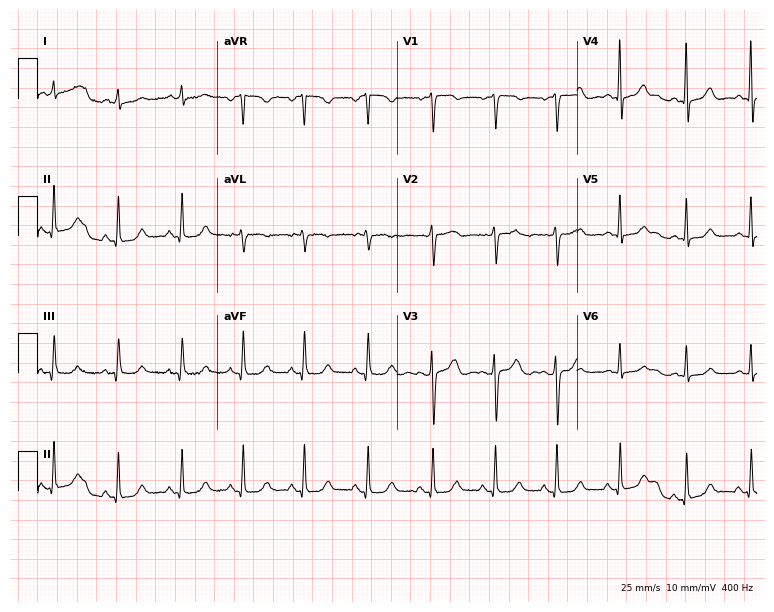
Standard 12-lead ECG recorded from a 45-year-old female (7.3-second recording at 400 Hz). Read as a normal ECG.